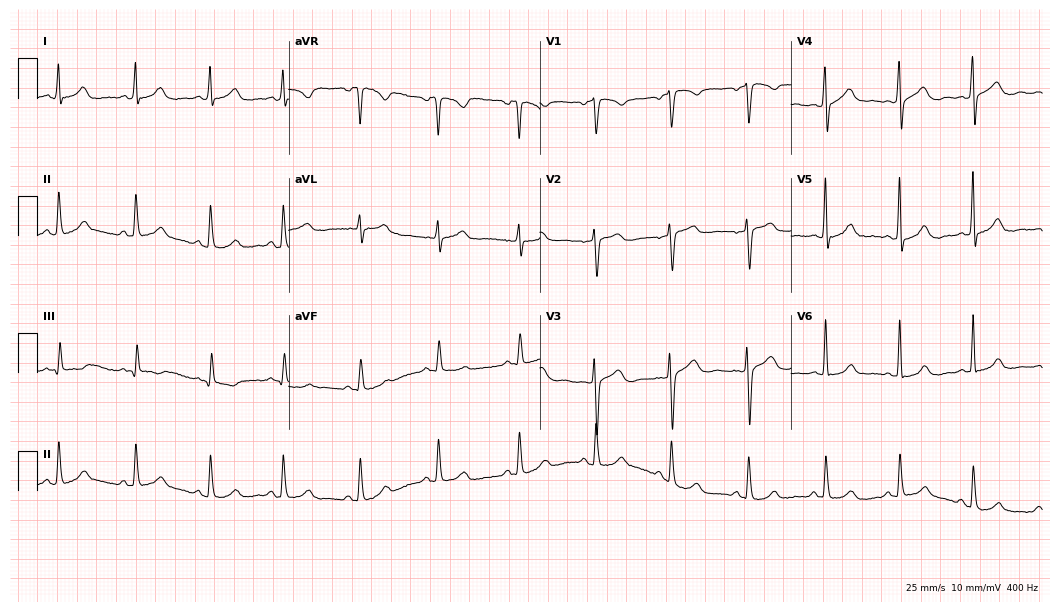
ECG — a 35-year-old female. Labelled as a normal ECG.